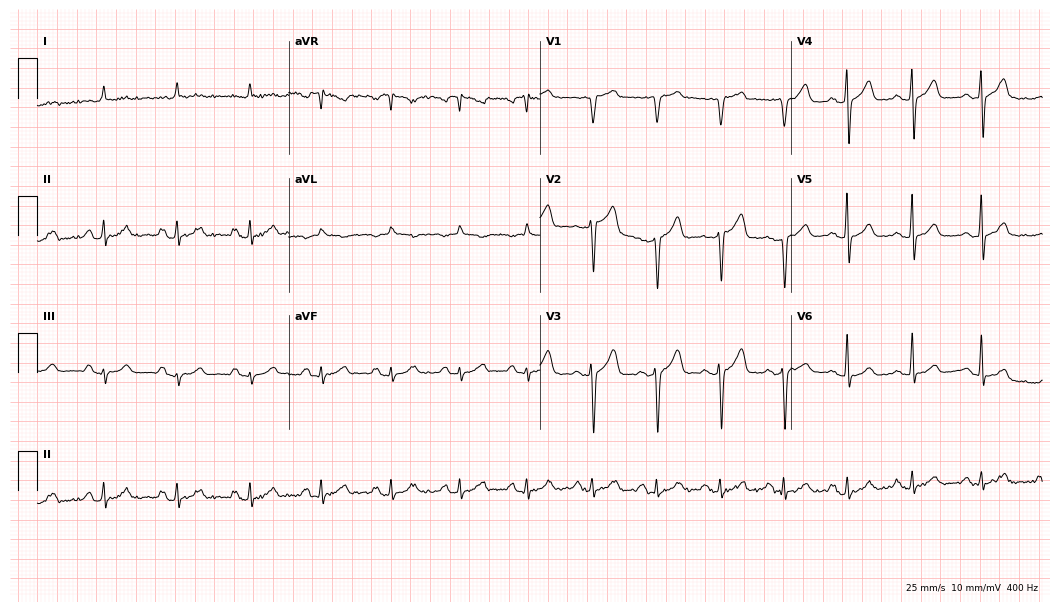
Electrocardiogram (10.2-second recording at 400 Hz), a 76-year-old man. Of the six screened findings (first-degree AV block, right bundle branch block, left bundle branch block, sinus bradycardia, atrial fibrillation, sinus tachycardia), none is recorded. Only these six findings were labelled.